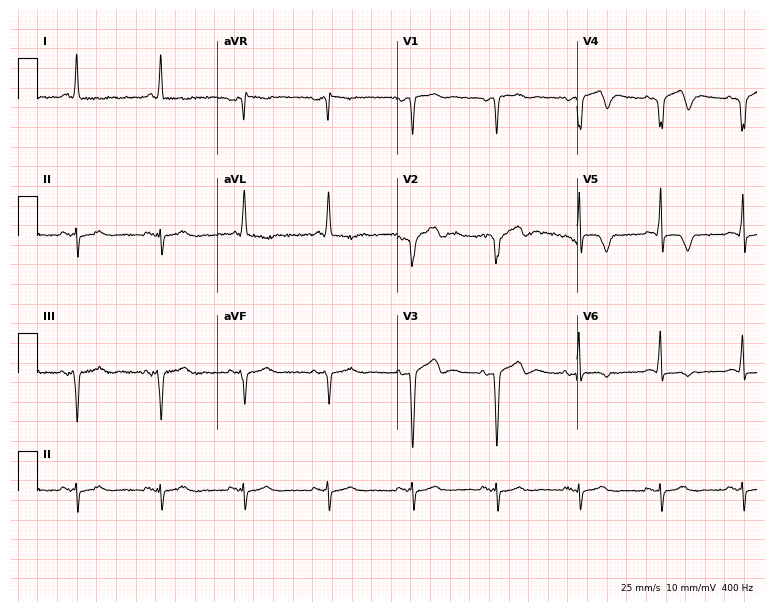
ECG — a male, 68 years old. Screened for six findings — first-degree AV block, right bundle branch block (RBBB), left bundle branch block (LBBB), sinus bradycardia, atrial fibrillation (AF), sinus tachycardia — none is recorded.